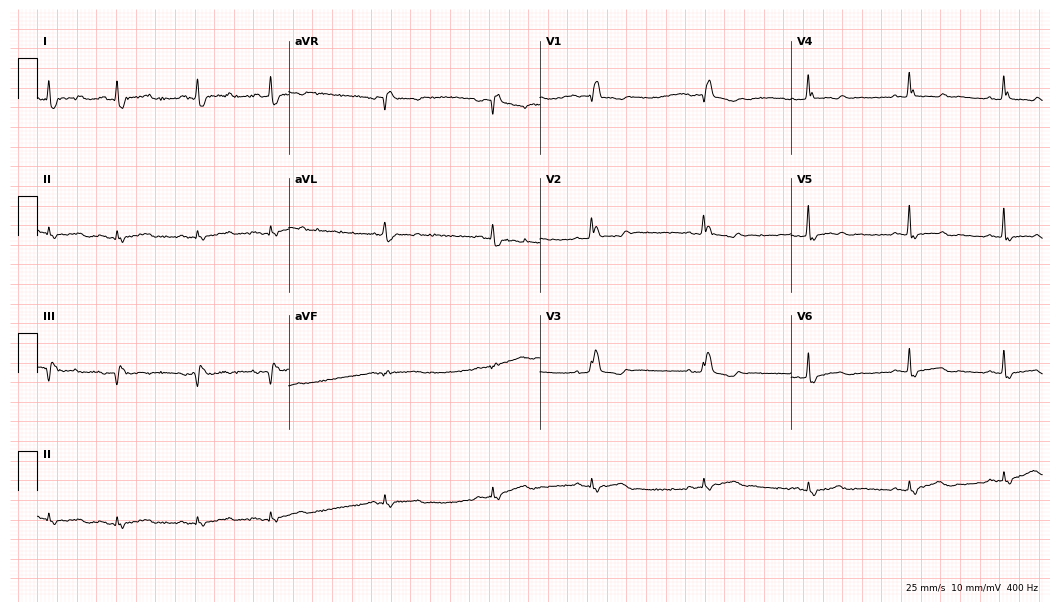
Resting 12-lead electrocardiogram. Patient: a female, 76 years old. The tracing shows right bundle branch block.